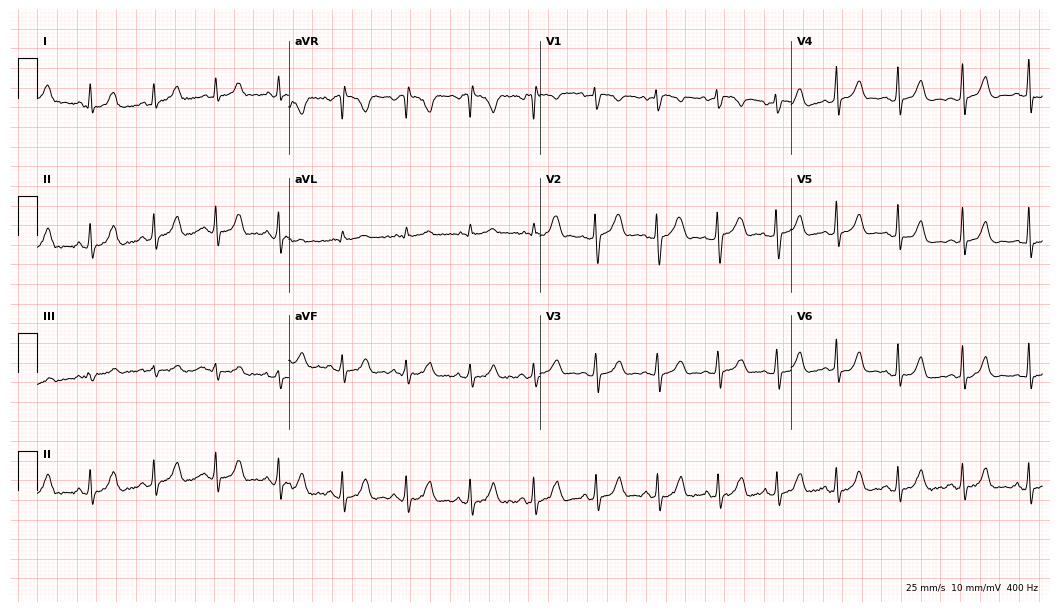
ECG — a woman, 27 years old. Labelled as a normal ECG.